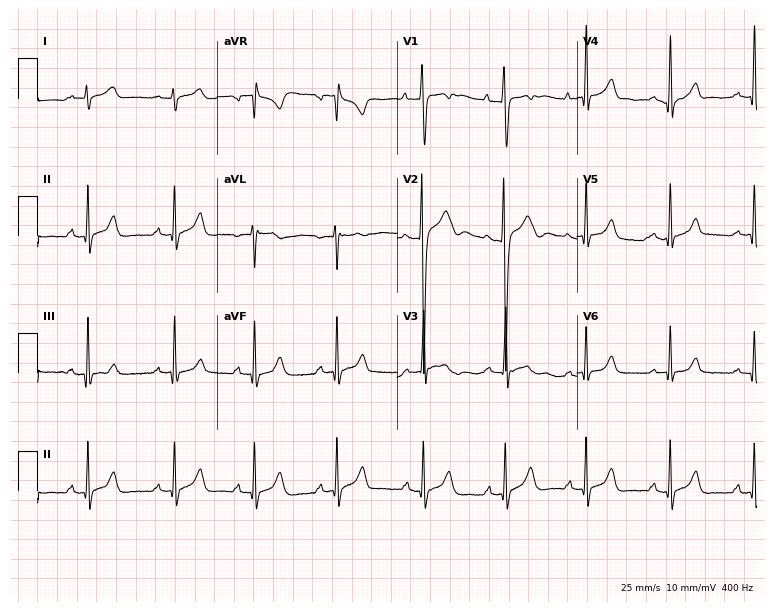
Standard 12-lead ECG recorded from a 17-year-old man (7.3-second recording at 400 Hz). None of these six findings is recorded: first-degree AV block, right bundle branch block, left bundle branch block, sinus bradycardia, atrial fibrillation, sinus tachycardia.